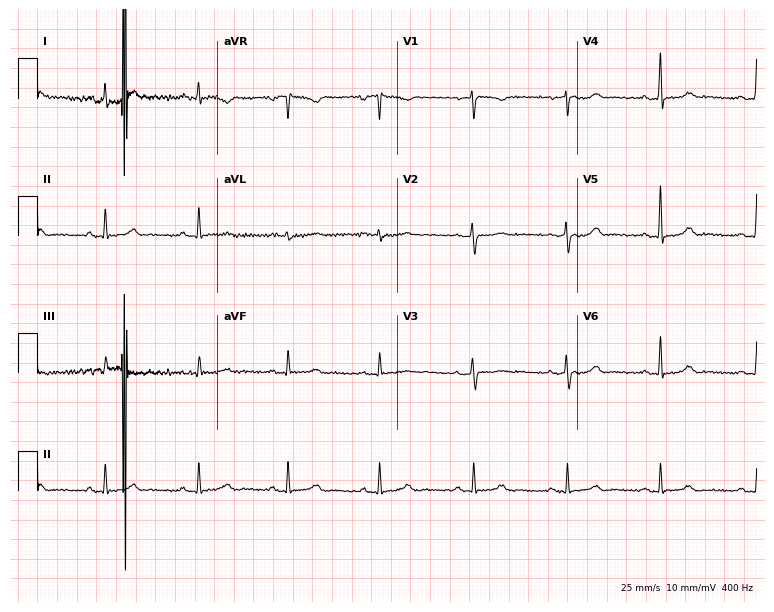
ECG (7.3-second recording at 400 Hz) — a woman, 33 years old. Labelled as a normal ECG.